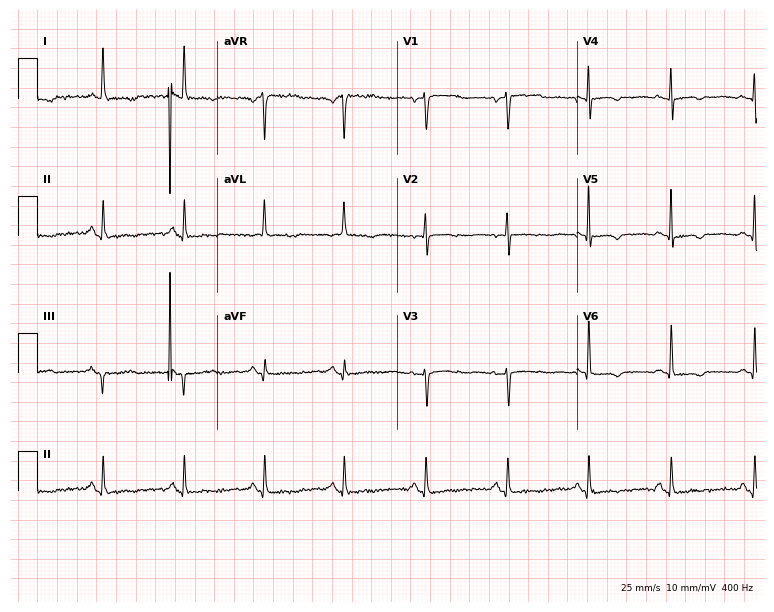
12-lead ECG from a 48-year-old woman. No first-degree AV block, right bundle branch block (RBBB), left bundle branch block (LBBB), sinus bradycardia, atrial fibrillation (AF) or sinus tachycardia recorded for this tracing. Other findings, if any, are not listed.